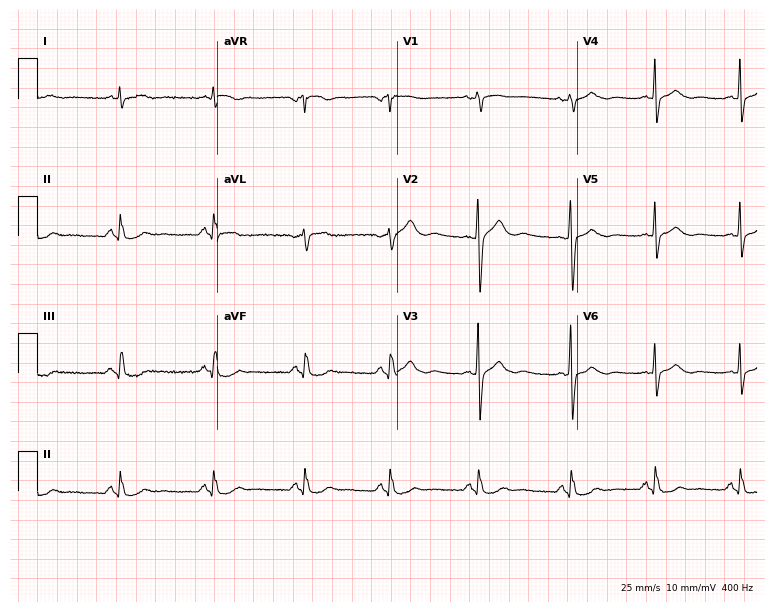
12-lead ECG from a 50-year-old woman. No first-degree AV block, right bundle branch block, left bundle branch block, sinus bradycardia, atrial fibrillation or sinus tachycardia recorded for this tracing.